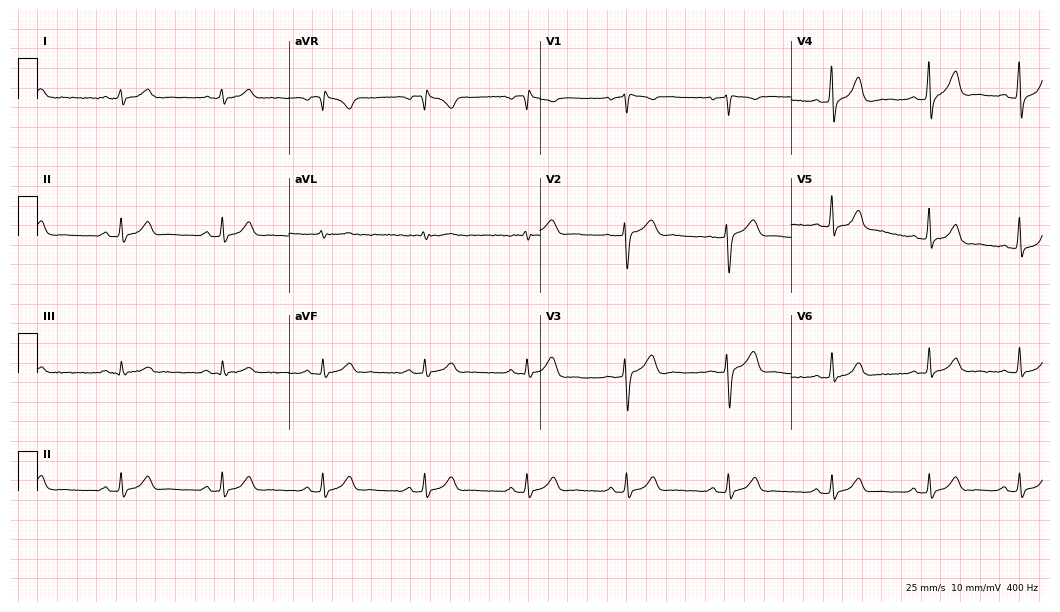
12-lead ECG (10.2-second recording at 400 Hz) from a male patient, 44 years old. Screened for six findings — first-degree AV block, right bundle branch block, left bundle branch block, sinus bradycardia, atrial fibrillation, sinus tachycardia — none is recorded. Only these six findings were labelled.